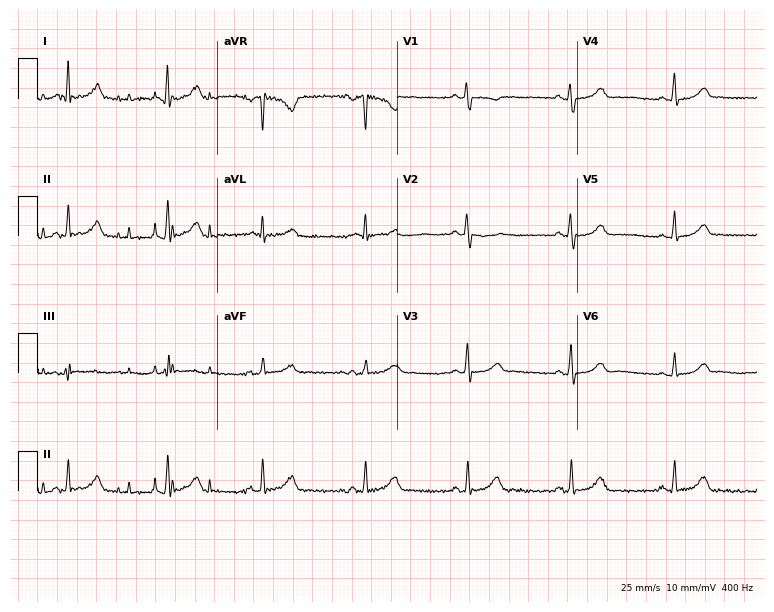
12-lead ECG from a 32-year-old woman. Labelled as a normal ECG.